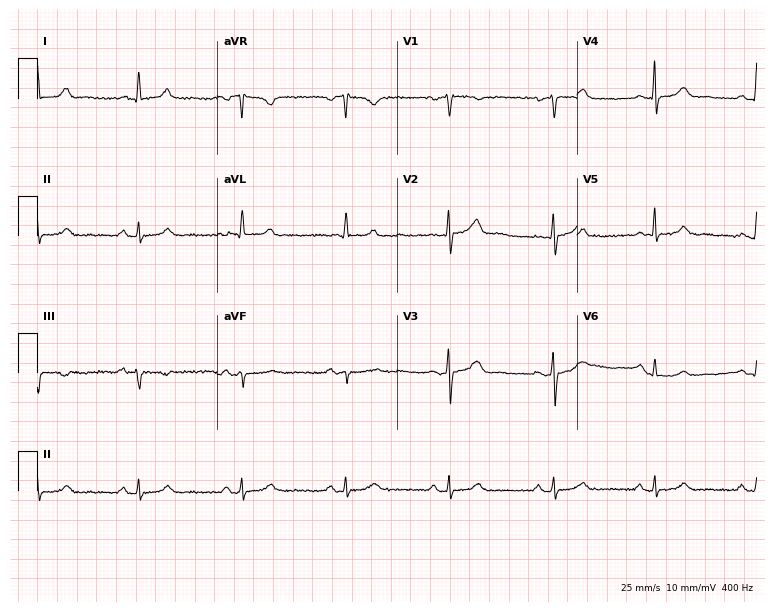
Electrocardiogram, a 64-year-old woman. Overall reading on record: normal ECG.